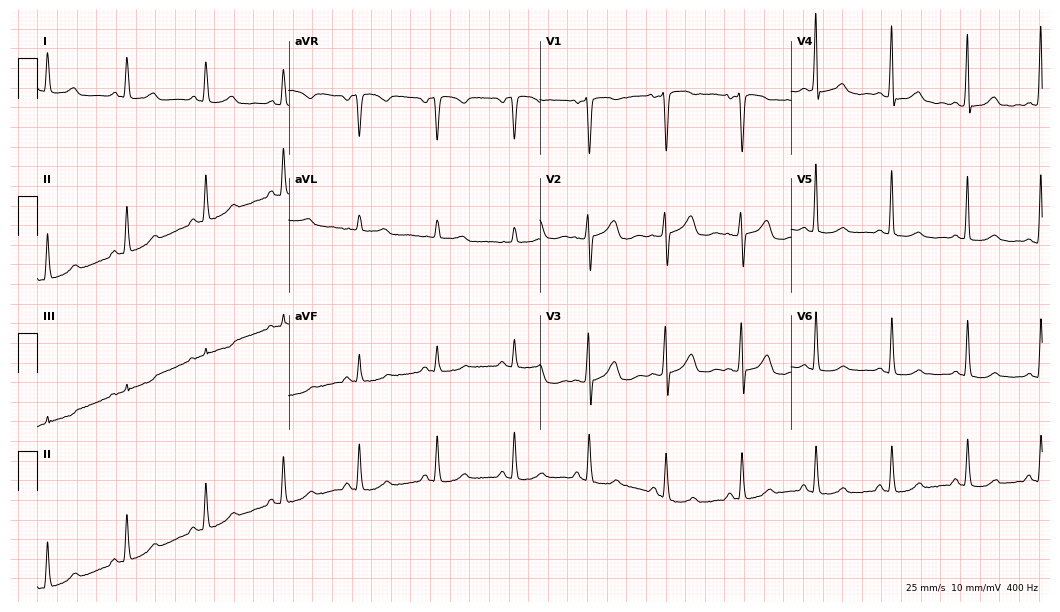
12-lead ECG from a woman, 39 years old. Labelled as a normal ECG.